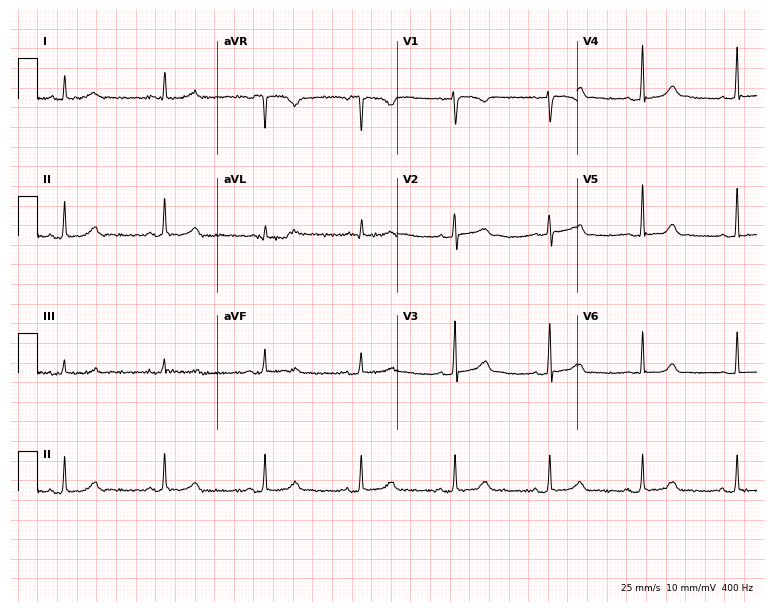
12-lead ECG (7.3-second recording at 400 Hz) from a female, 40 years old. Labelled as a normal ECG.